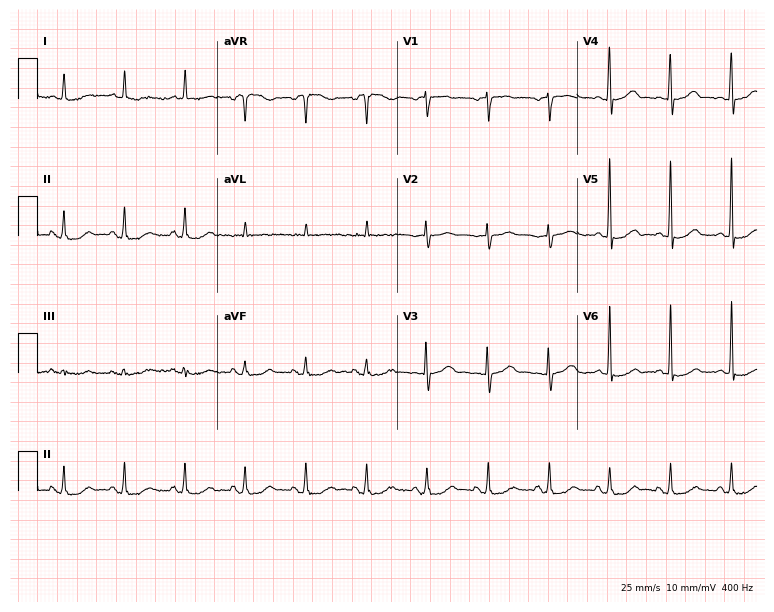
Resting 12-lead electrocardiogram (7.3-second recording at 400 Hz). Patient: a 71-year-old female. None of these six findings is recorded: first-degree AV block, right bundle branch block, left bundle branch block, sinus bradycardia, atrial fibrillation, sinus tachycardia.